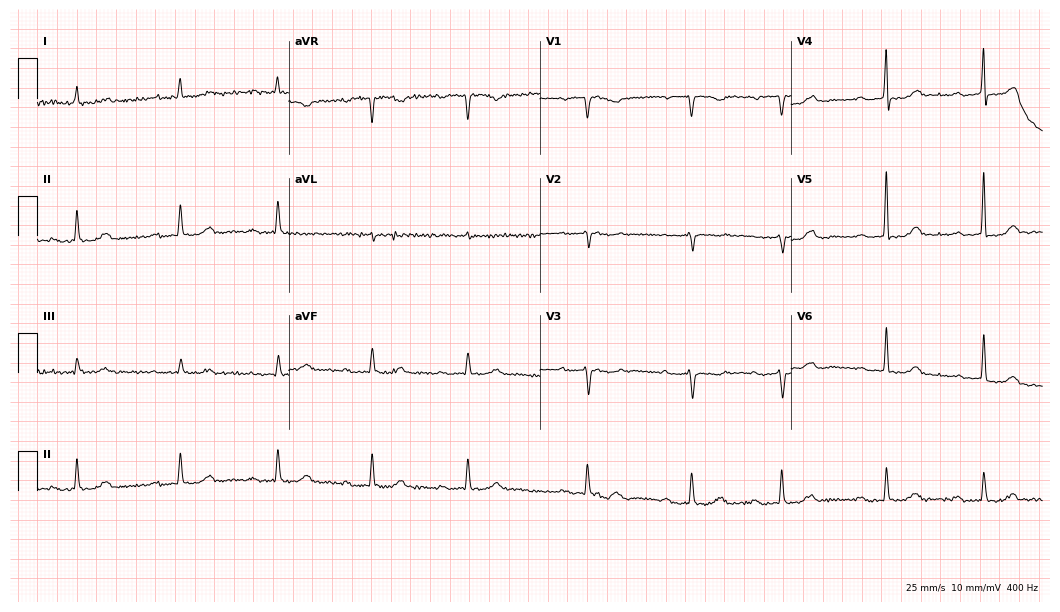
Standard 12-lead ECG recorded from an 80-year-old woman (10.2-second recording at 400 Hz). The tracing shows first-degree AV block.